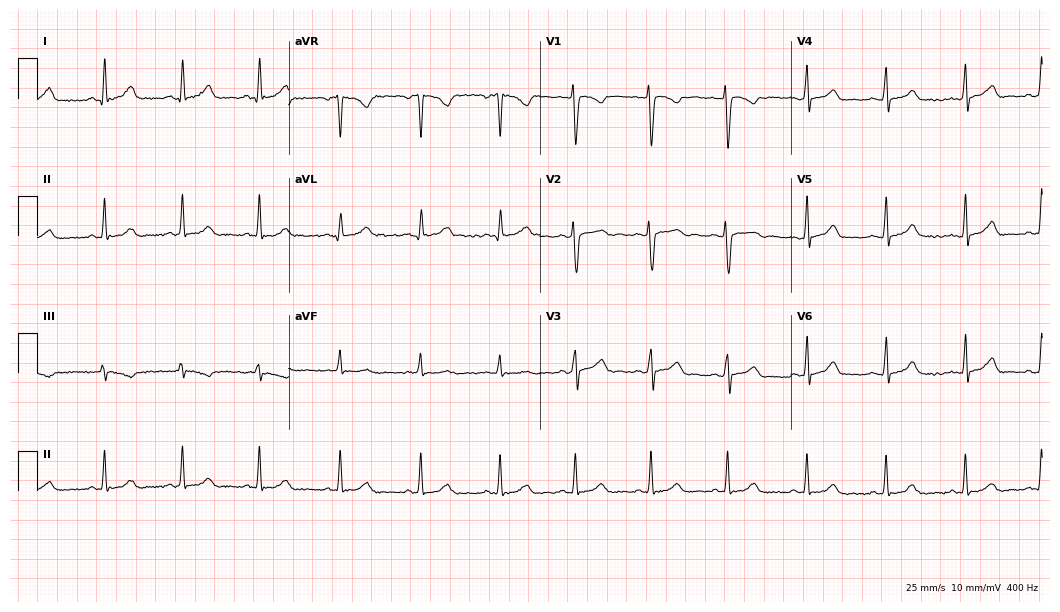
Resting 12-lead electrocardiogram (10.2-second recording at 400 Hz). Patient: a female, 20 years old. Read as a normal ECG.